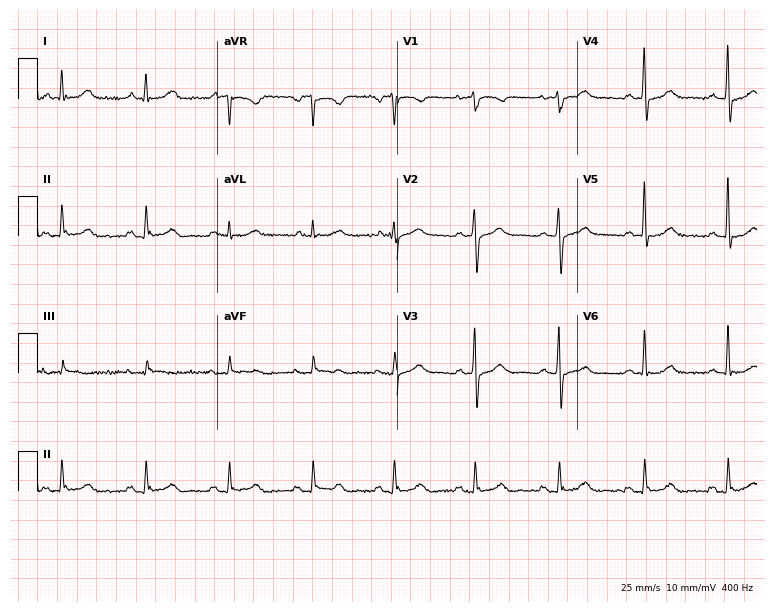
Electrocardiogram (7.3-second recording at 400 Hz), a 75-year-old man. Overall reading on record: normal ECG.